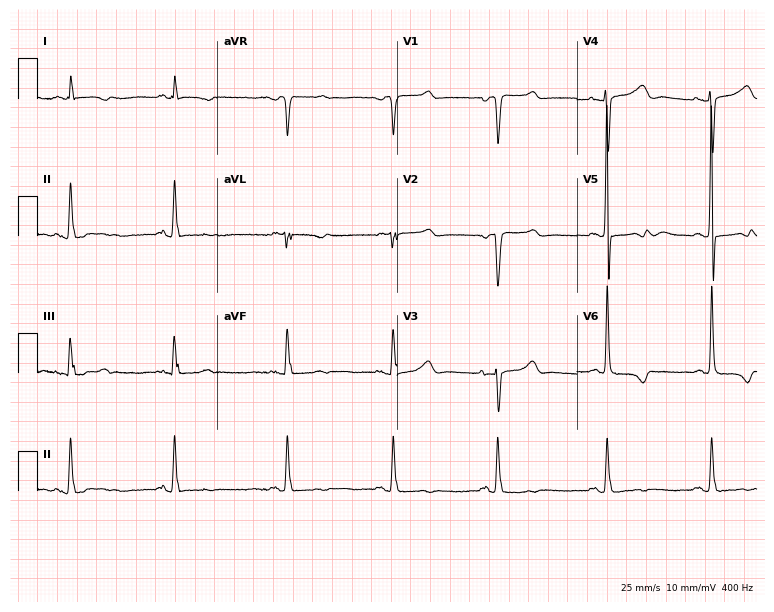
12-lead ECG from a female patient, 79 years old. No first-degree AV block, right bundle branch block, left bundle branch block, sinus bradycardia, atrial fibrillation or sinus tachycardia recorded for this tracing.